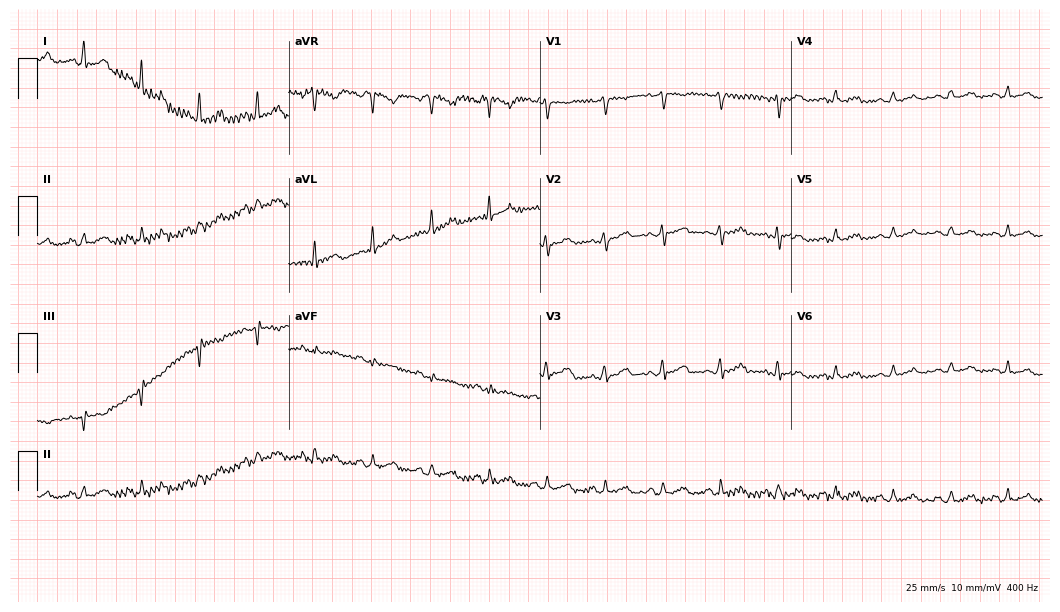
12-lead ECG (10.2-second recording at 400 Hz) from a woman, 30 years old. Screened for six findings — first-degree AV block, right bundle branch block (RBBB), left bundle branch block (LBBB), sinus bradycardia, atrial fibrillation (AF), sinus tachycardia — none is recorded.